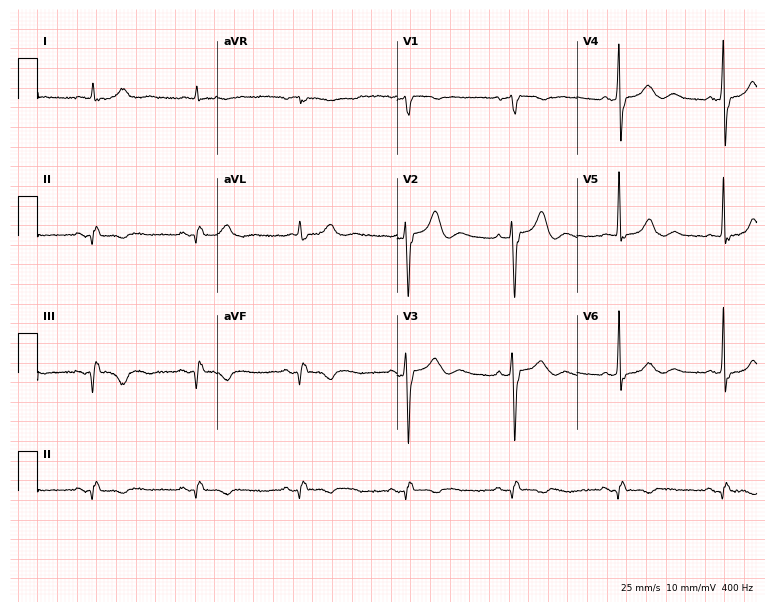
Standard 12-lead ECG recorded from a 77-year-old male patient. None of these six findings is recorded: first-degree AV block, right bundle branch block, left bundle branch block, sinus bradycardia, atrial fibrillation, sinus tachycardia. Other findings, if any, are not listed.